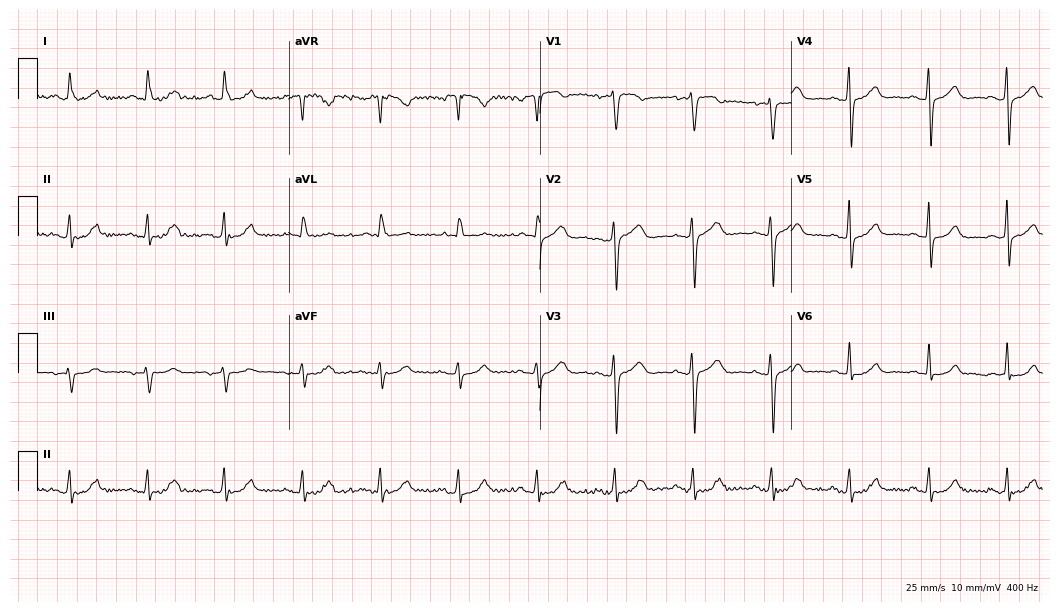
12-lead ECG from a female, 73 years old (10.2-second recording at 400 Hz). Recorded interpretation: within normal limits.